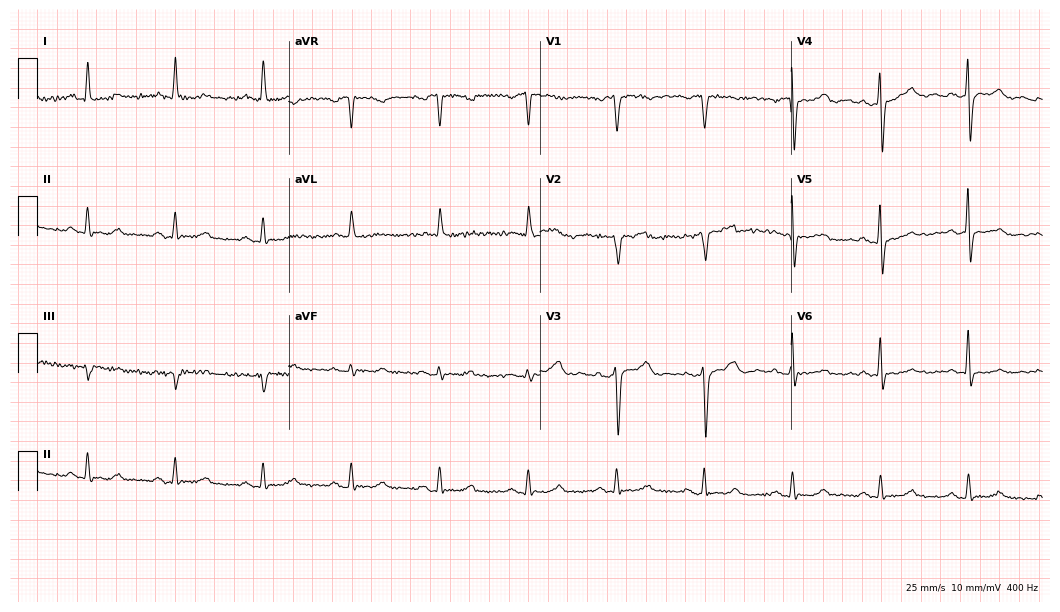
ECG (10.2-second recording at 400 Hz) — a female, 74 years old. Labelled as a normal ECG.